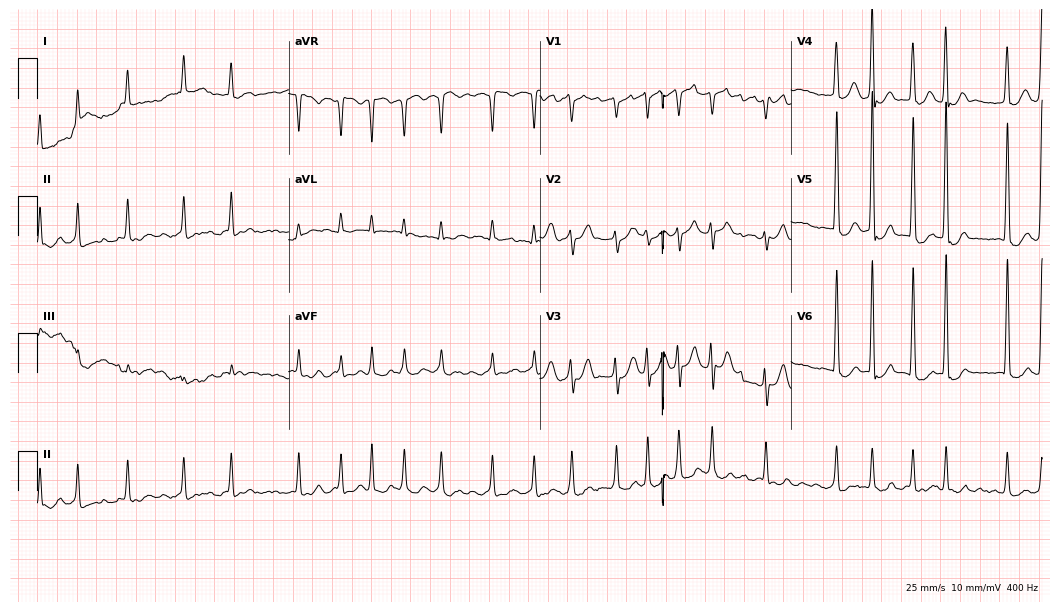
Standard 12-lead ECG recorded from a man, 74 years old (10.2-second recording at 400 Hz). The tracing shows atrial fibrillation.